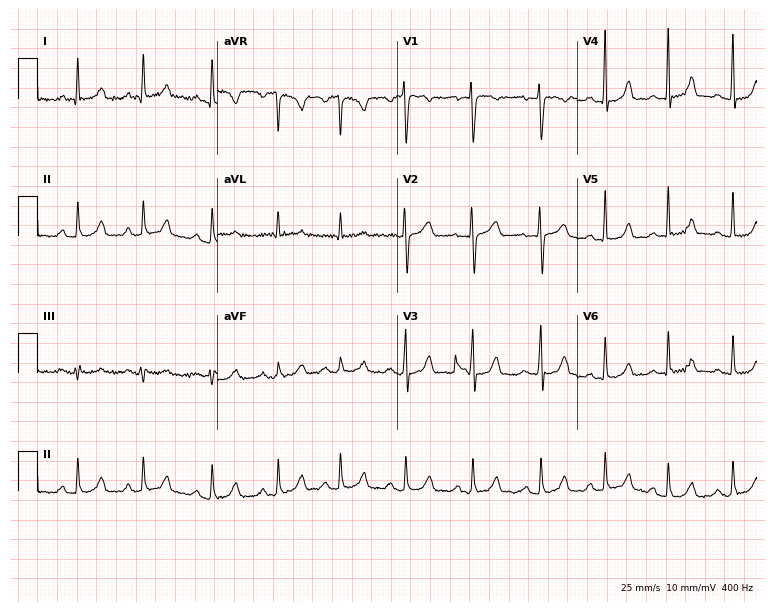
Electrocardiogram, a 58-year-old female patient. Overall reading on record: normal ECG.